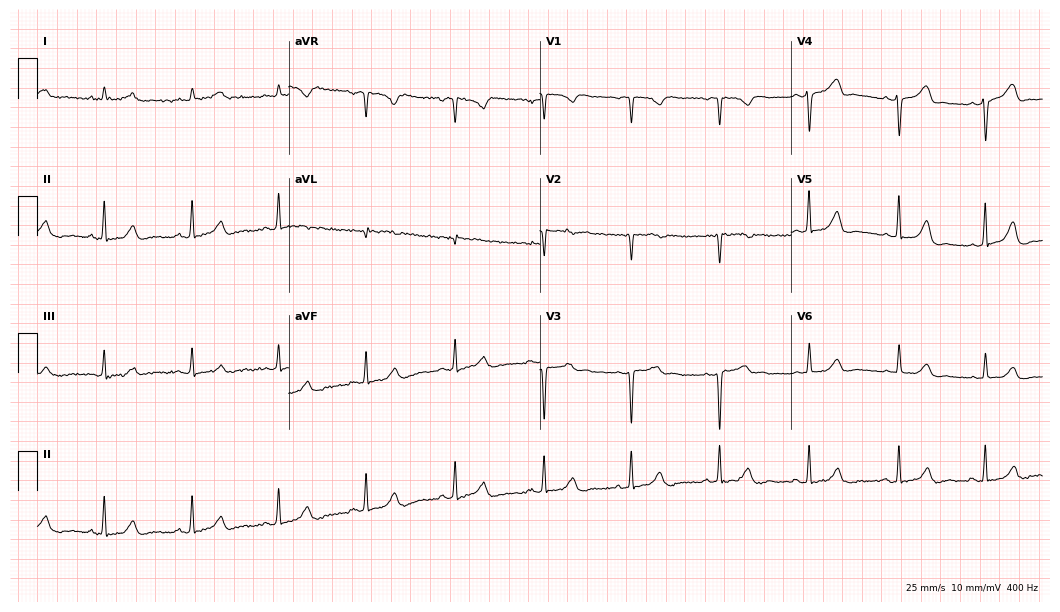
Standard 12-lead ECG recorded from a 44-year-old female patient. None of these six findings is recorded: first-degree AV block, right bundle branch block (RBBB), left bundle branch block (LBBB), sinus bradycardia, atrial fibrillation (AF), sinus tachycardia.